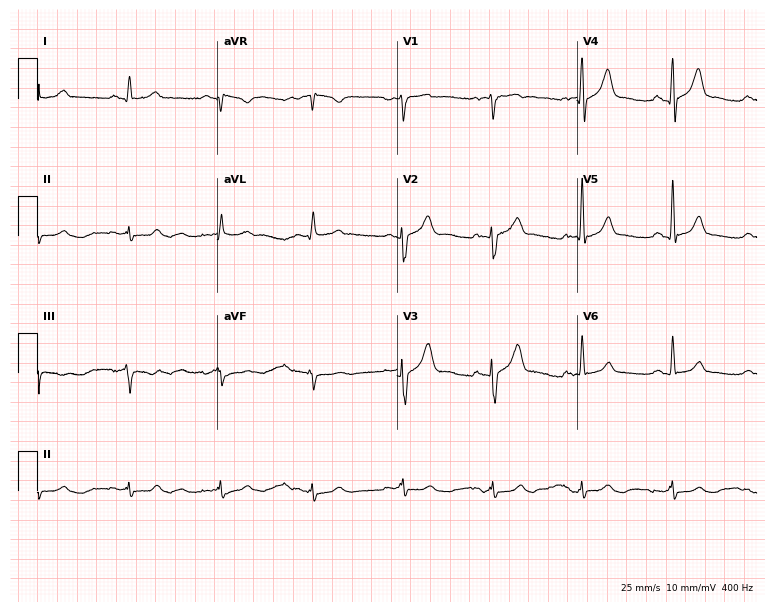
Resting 12-lead electrocardiogram (7.3-second recording at 400 Hz). Patient: a 53-year-old male. Read as a normal ECG.